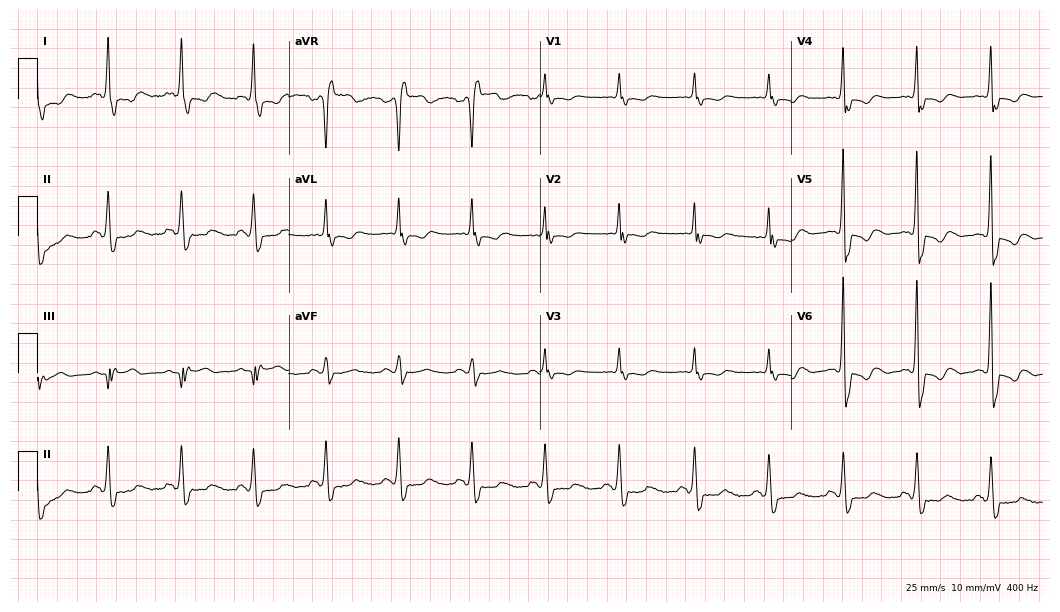
Standard 12-lead ECG recorded from a male, 72 years old. None of these six findings is recorded: first-degree AV block, right bundle branch block, left bundle branch block, sinus bradycardia, atrial fibrillation, sinus tachycardia. Other findings, if any, are not listed.